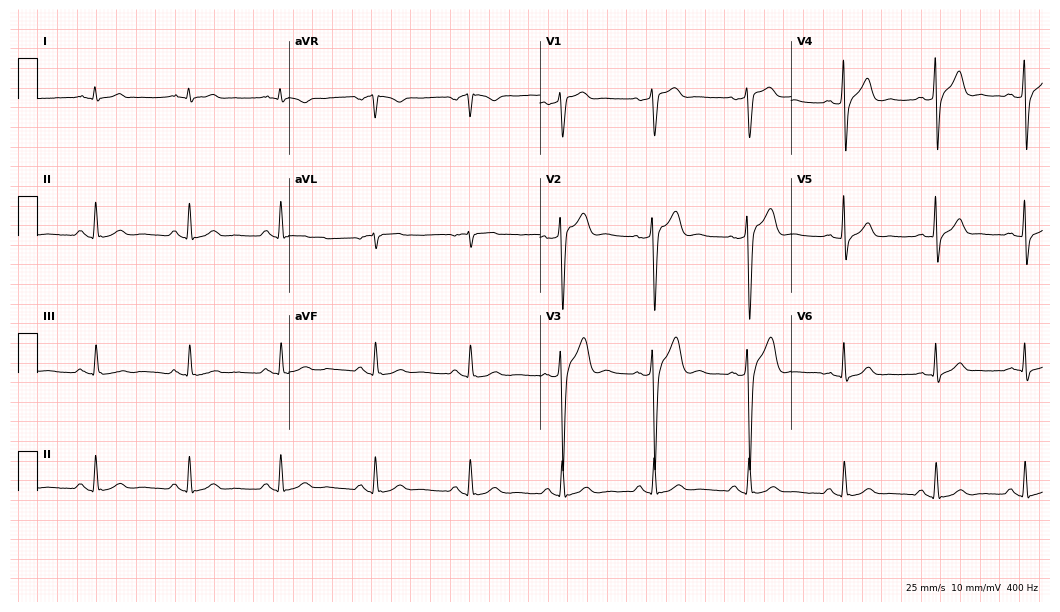
ECG — a 41-year-old male patient. Screened for six findings — first-degree AV block, right bundle branch block, left bundle branch block, sinus bradycardia, atrial fibrillation, sinus tachycardia — none is recorded. Only these six findings were labelled.